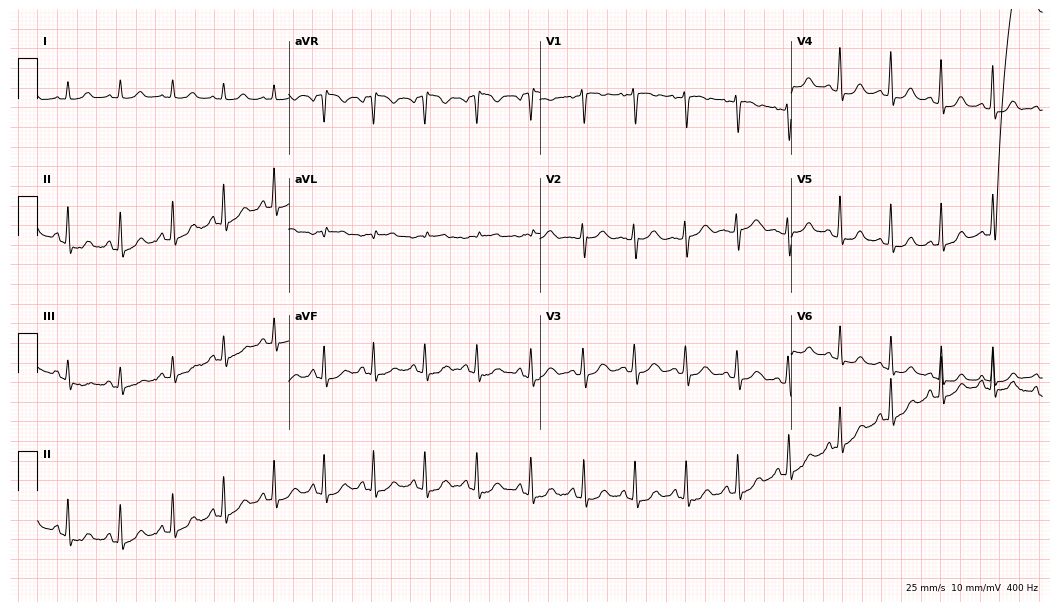
12-lead ECG from a female patient, 33 years old (10.2-second recording at 400 Hz). Shows sinus tachycardia (a sinus rate of 100 beats per minute or more).